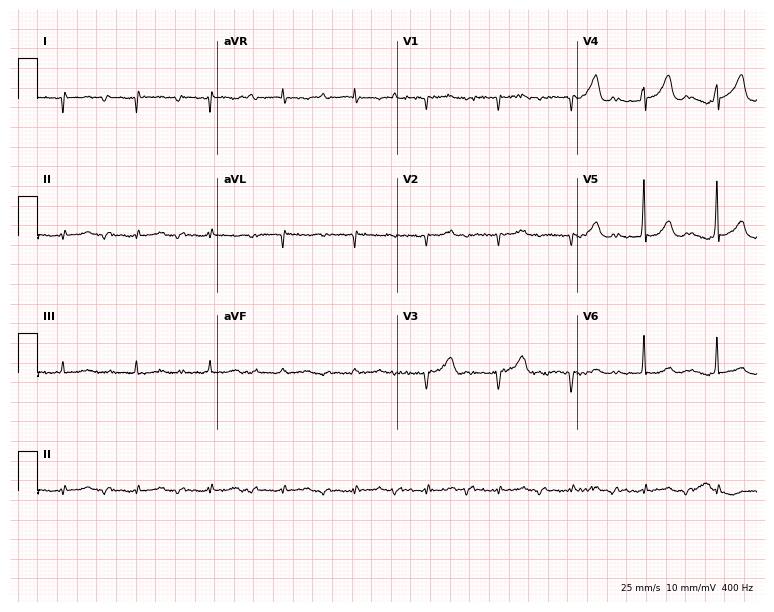
12-lead ECG (7.3-second recording at 400 Hz) from a man, 81 years old. Screened for six findings — first-degree AV block, right bundle branch block (RBBB), left bundle branch block (LBBB), sinus bradycardia, atrial fibrillation (AF), sinus tachycardia — none is recorded.